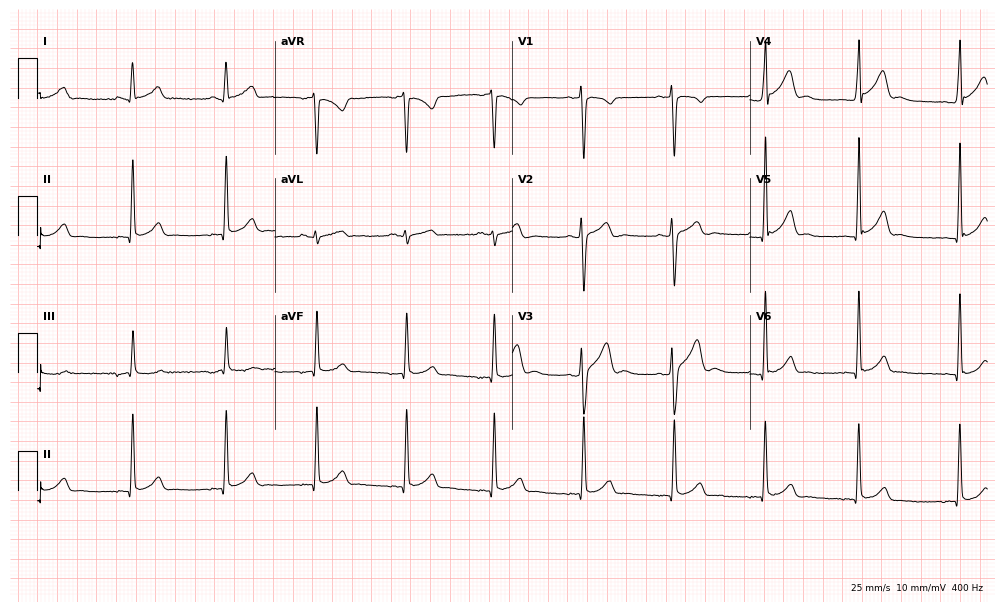
12-lead ECG from a 28-year-old female. Labelled as a normal ECG.